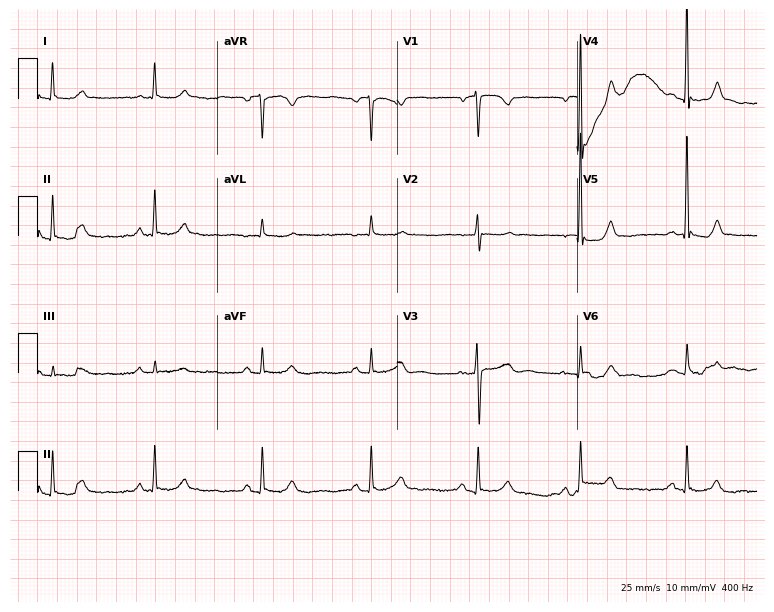
Resting 12-lead electrocardiogram (7.3-second recording at 400 Hz). Patient: a female, 57 years old. Read as a normal ECG.